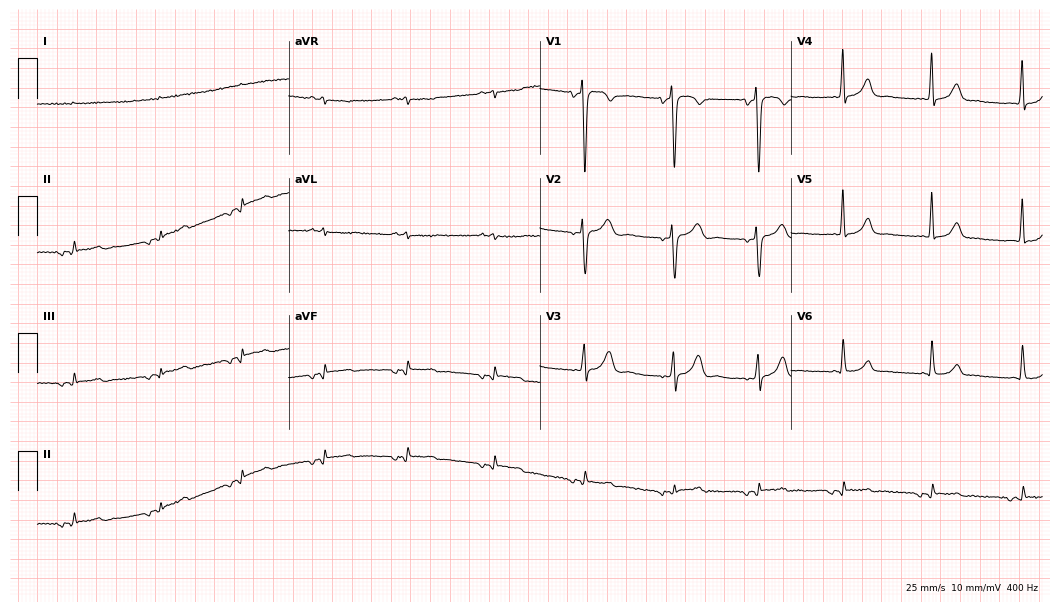
ECG — a 25-year-old female patient. Screened for six findings — first-degree AV block, right bundle branch block (RBBB), left bundle branch block (LBBB), sinus bradycardia, atrial fibrillation (AF), sinus tachycardia — none is recorded.